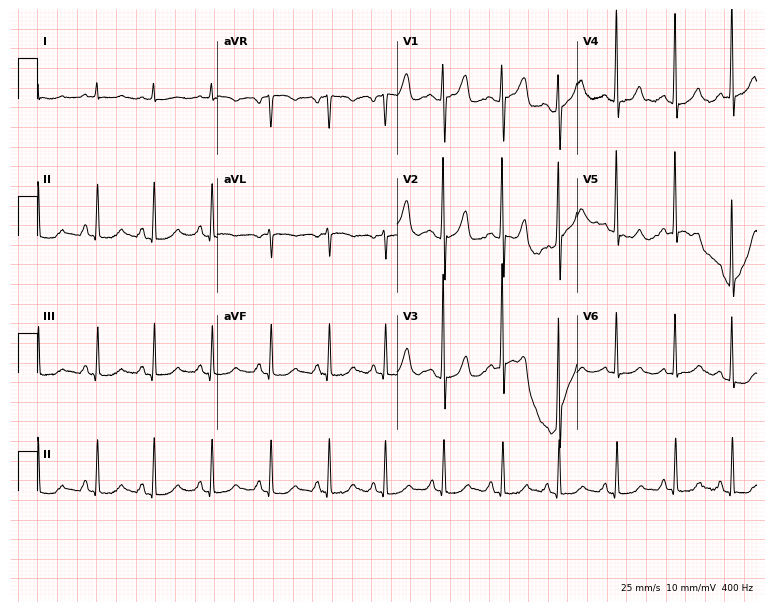
Resting 12-lead electrocardiogram. Patient: a 74-year-old female. None of these six findings is recorded: first-degree AV block, right bundle branch block, left bundle branch block, sinus bradycardia, atrial fibrillation, sinus tachycardia.